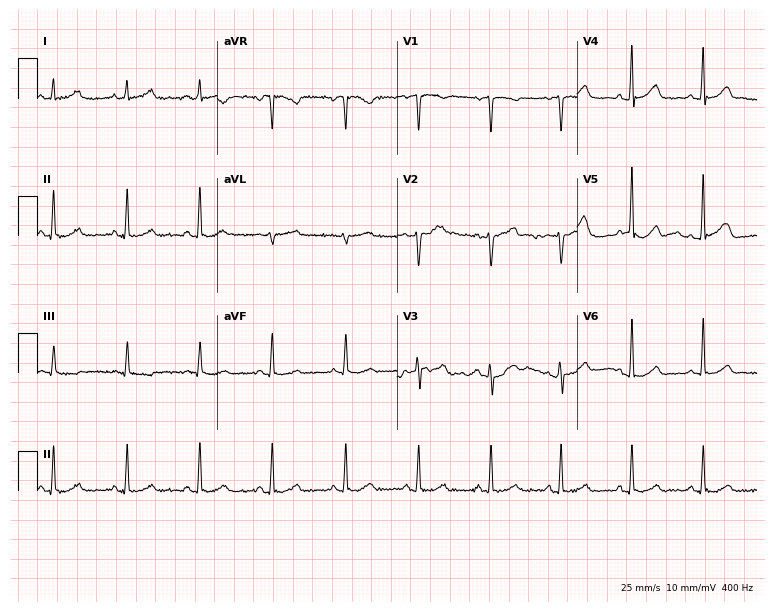
Standard 12-lead ECG recorded from a woman, 47 years old (7.3-second recording at 400 Hz). Read as a normal ECG.